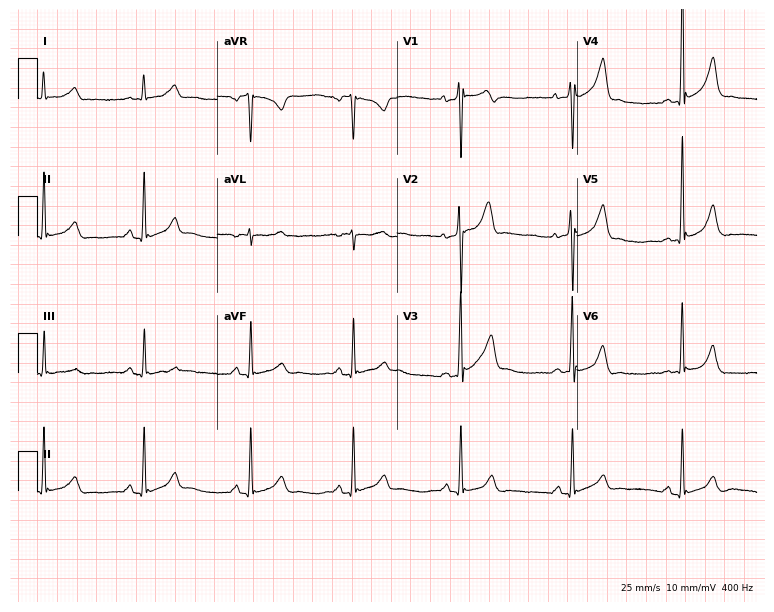
12-lead ECG (7.3-second recording at 400 Hz) from a 31-year-old man. Labelled as a normal ECG.